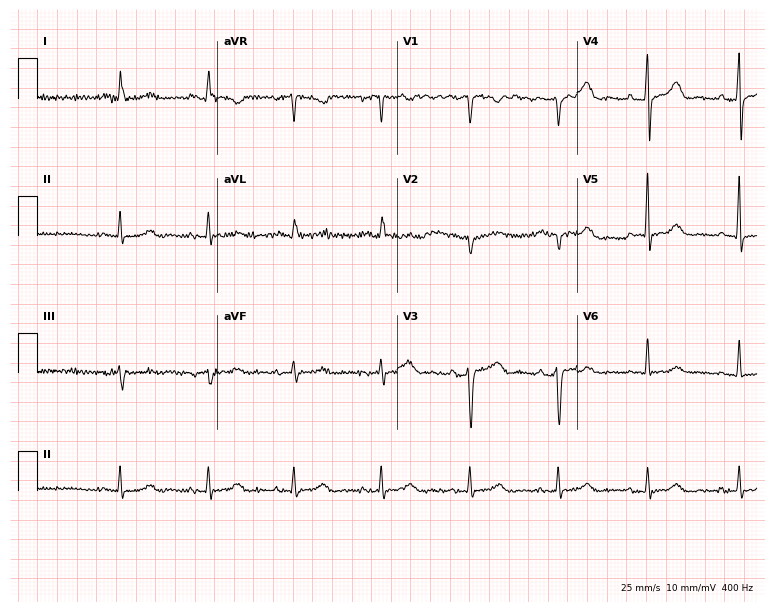
Electrocardiogram, a man, 82 years old. Of the six screened findings (first-degree AV block, right bundle branch block, left bundle branch block, sinus bradycardia, atrial fibrillation, sinus tachycardia), none is recorded. Only these six findings were labelled.